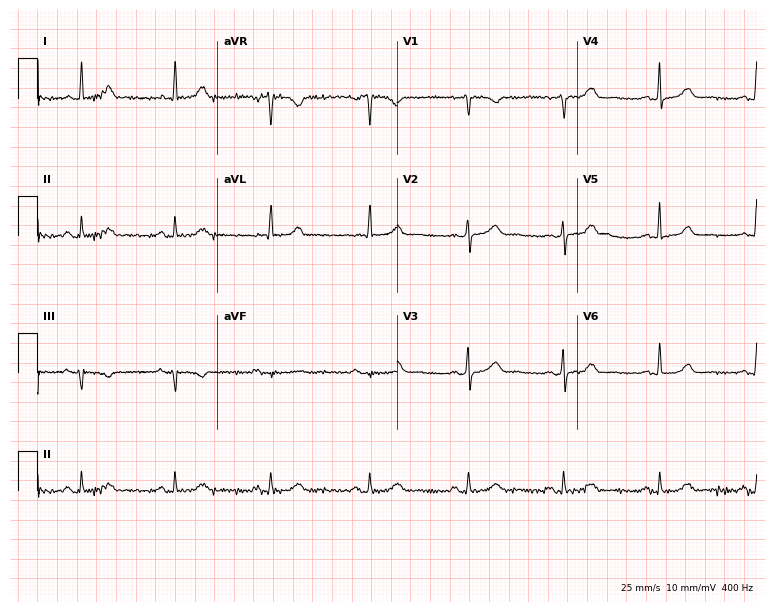
Standard 12-lead ECG recorded from a woman, 58 years old. Read as a normal ECG.